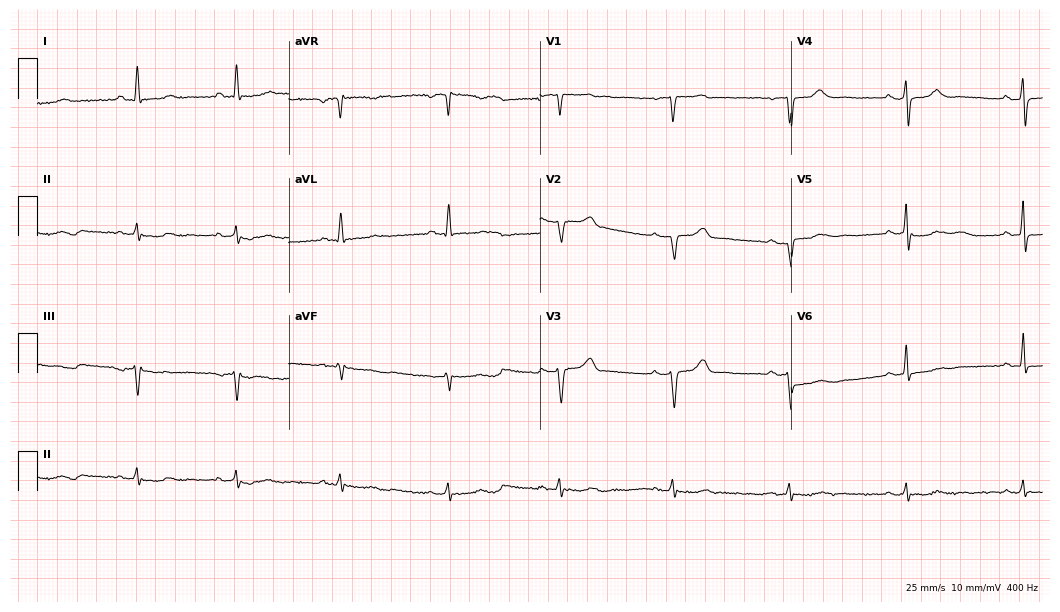
12-lead ECG from a 75-year-old male patient. Screened for six findings — first-degree AV block, right bundle branch block, left bundle branch block, sinus bradycardia, atrial fibrillation, sinus tachycardia — none is recorded. Other findings, if any, are not listed.